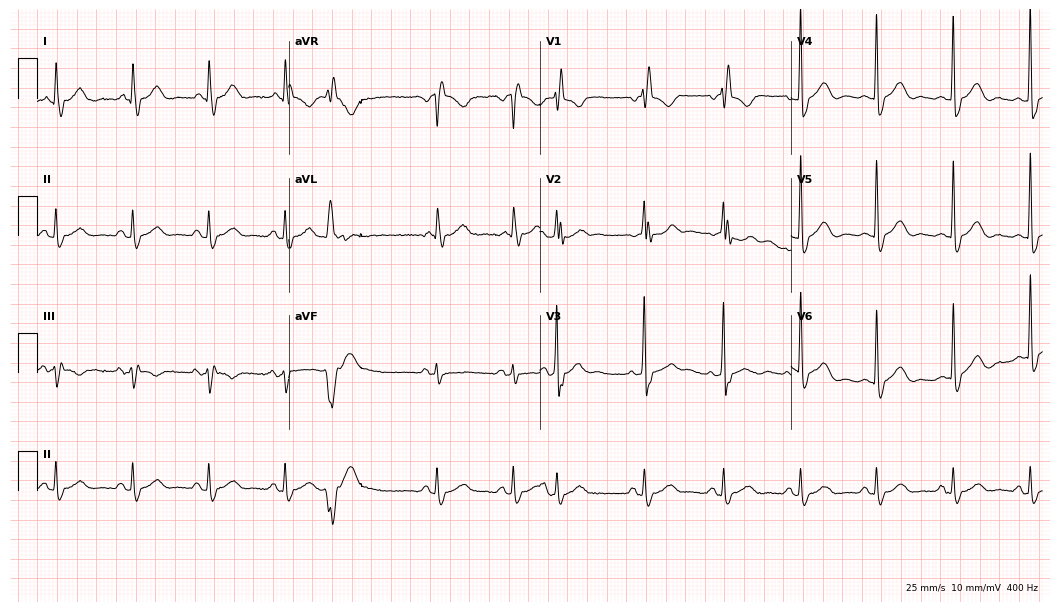
Resting 12-lead electrocardiogram. Patient: an 84-year-old female. The tracing shows right bundle branch block.